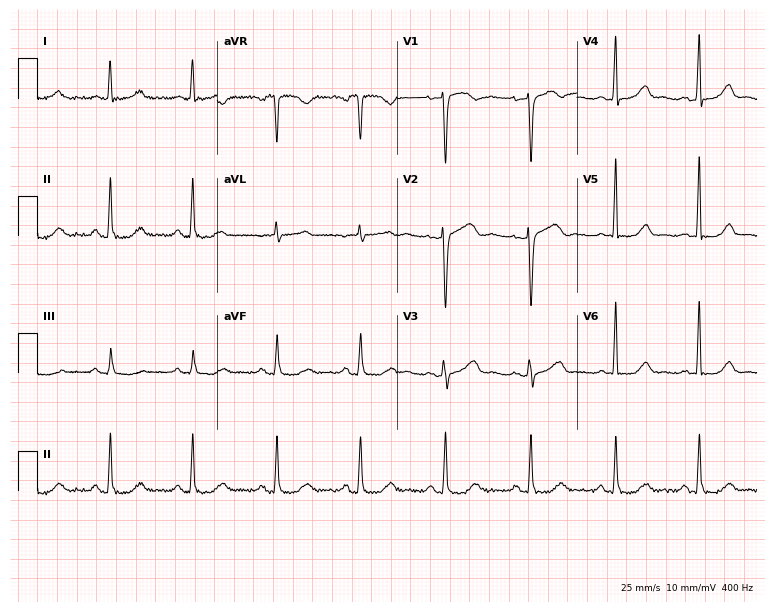
Standard 12-lead ECG recorded from a 61-year-old female. None of these six findings is recorded: first-degree AV block, right bundle branch block (RBBB), left bundle branch block (LBBB), sinus bradycardia, atrial fibrillation (AF), sinus tachycardia. Only these six findings were labelled.